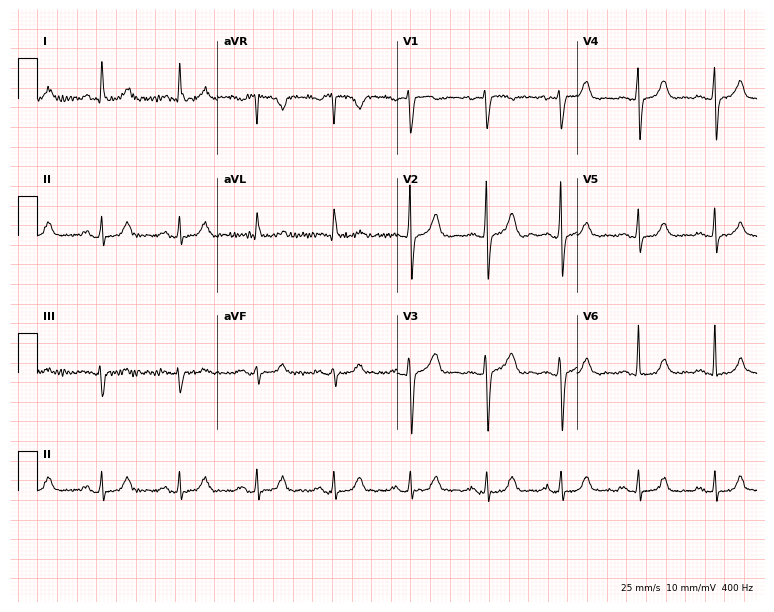
12-lead ECG from a female, 75 years old. Recorded interpretation: within normal limits.